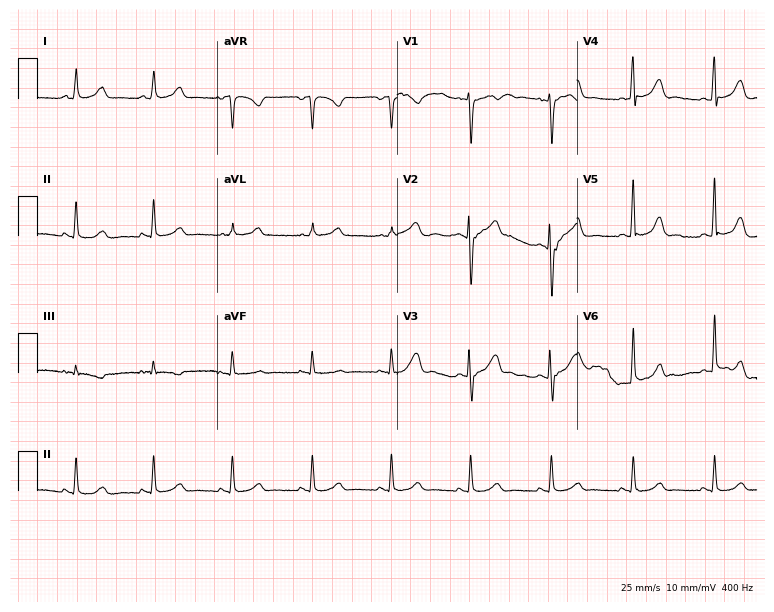
ECG — a 50-year-old woman. Labelled as a normal ECG.